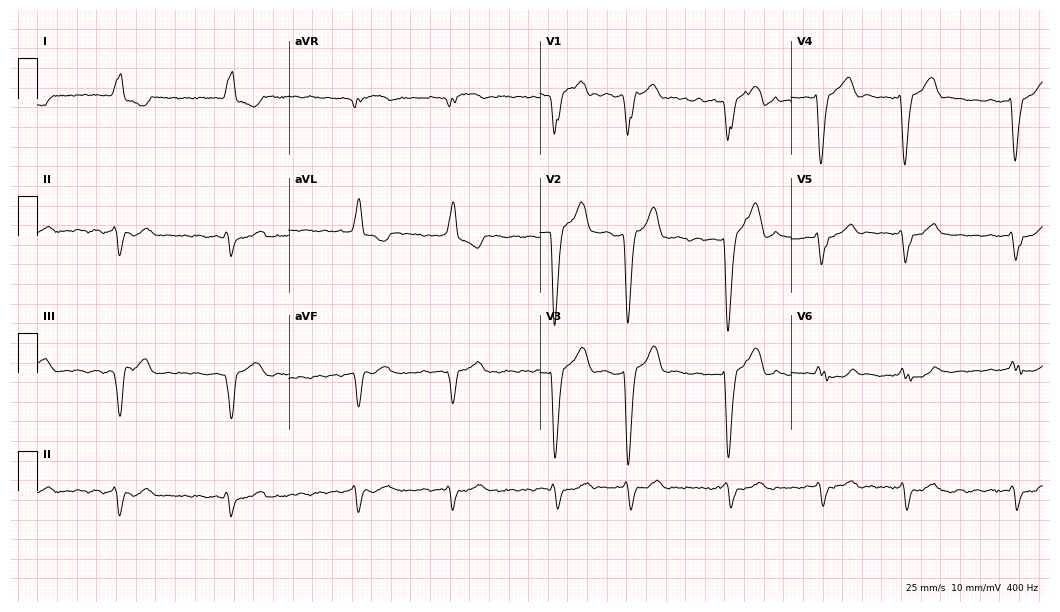
ECG — a woman, 80 years old. Findings include left bundle branch block, atrial fibrillation.